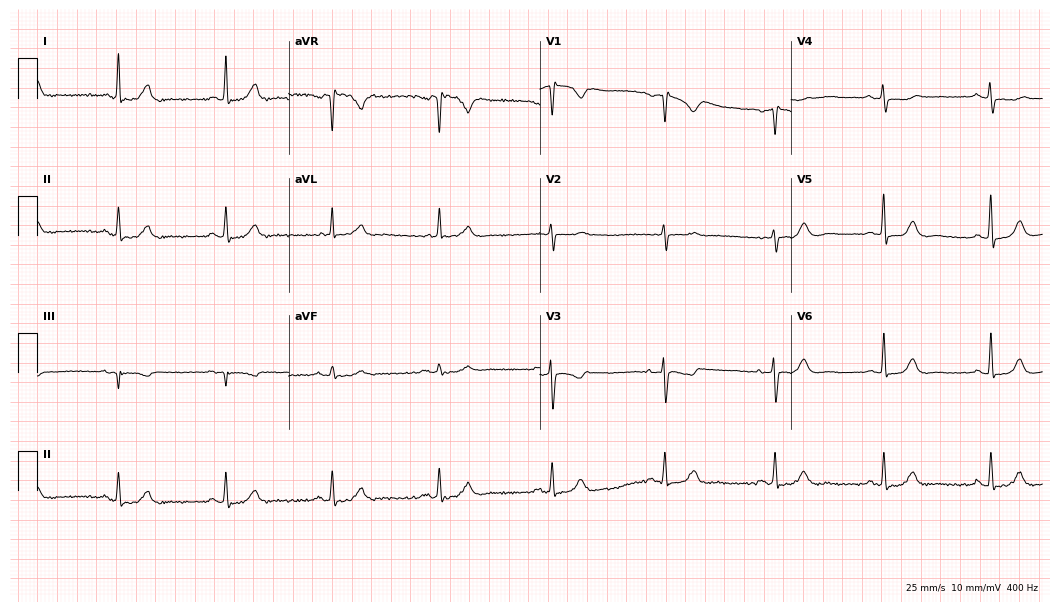
Electrocardiogram (10.2-second recording at 400 Hz), a 61-year-old female patient. Overall reading on record: normal ECG.